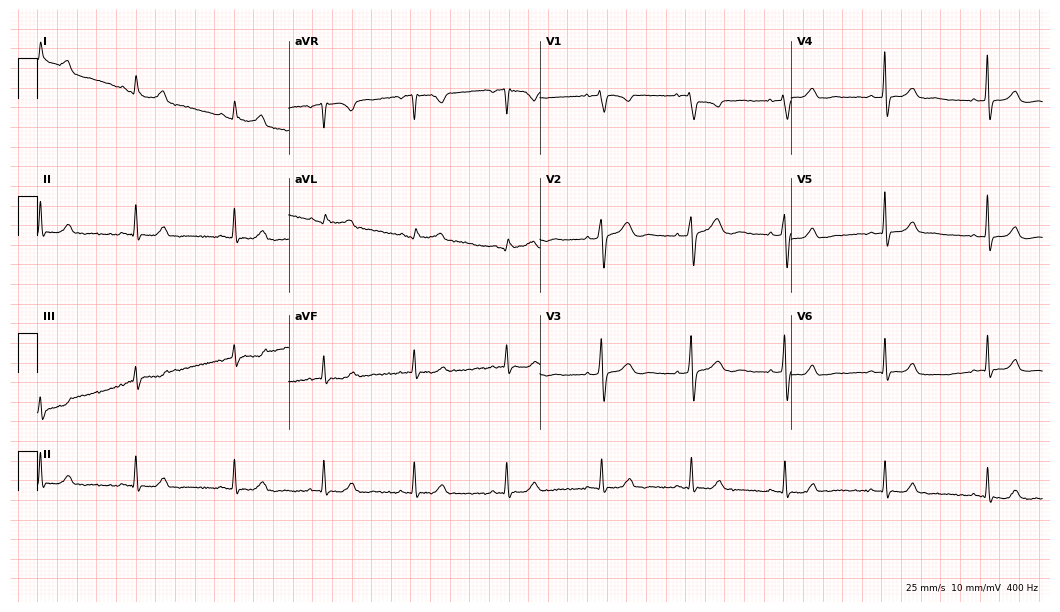
12-lead ECG from a female patient, 39 years old (10.2-second recording at 400 Hz). Recorded interpretation: within normal limits.